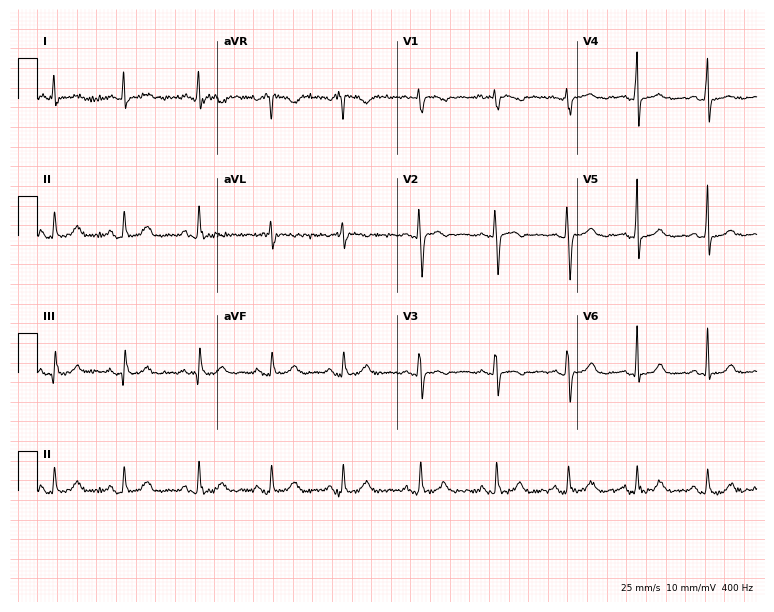
12-lead ECG (7.3-second recording at 400 Hz) from a female patient, 30 years old. Labelled as a normal ECG.